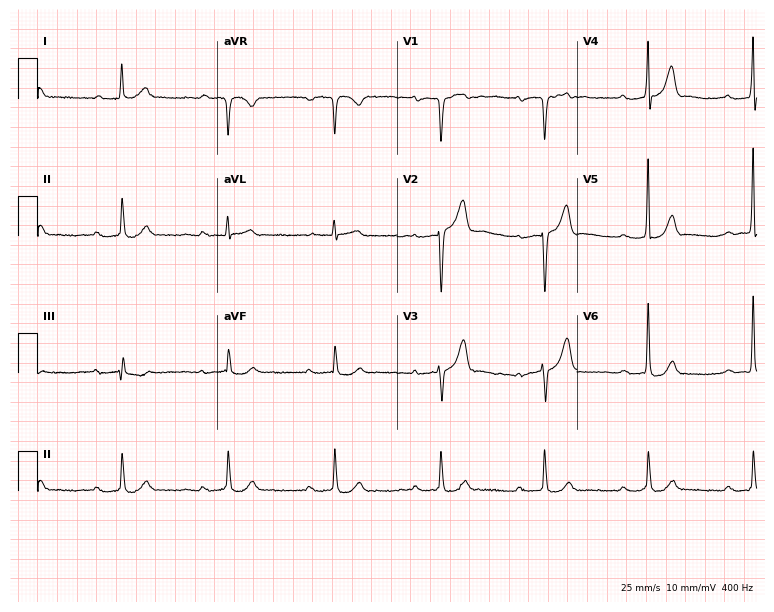
12-lead ECG from an 82-year-old male. Recorded interpretation: within normal limits.